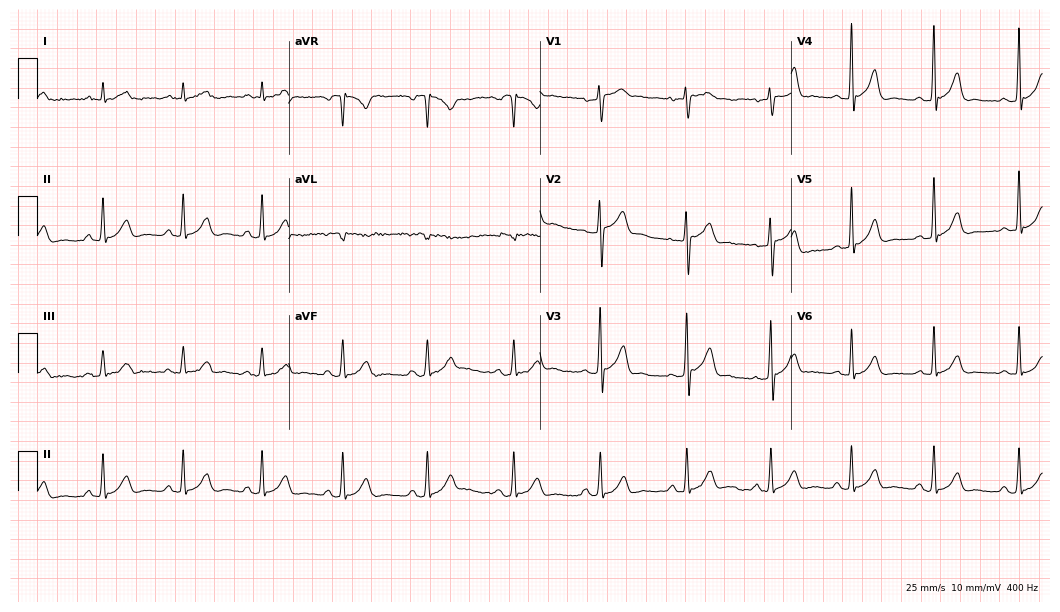
12-lead ECG from a male patient, 49 years old (10.2-second recording at 400 Hz). Recorded interpretation: within normal limits.